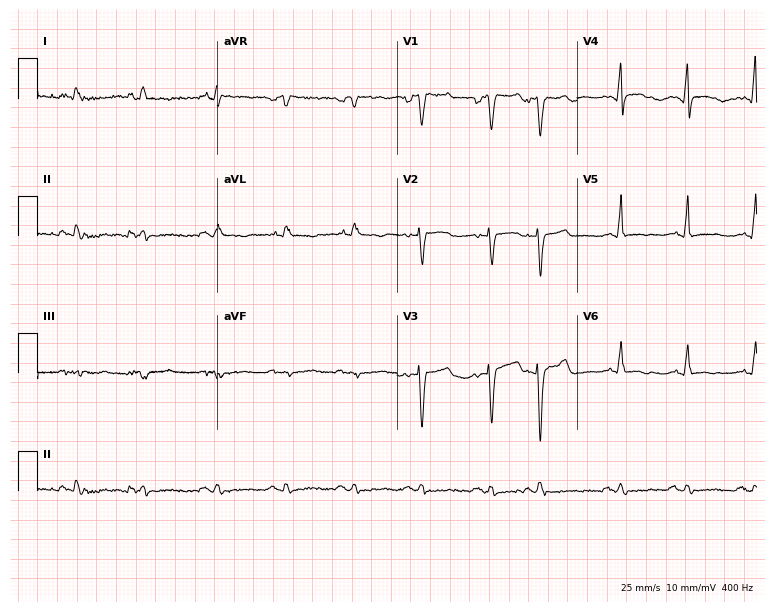
ECG — a man, 56 years old. Screened for six findings — first-degree AV block, right bundle branch block, left bundle branch block, sinus bradycardia, atrial fibrillation, sinus tachycardia — none is recorded.